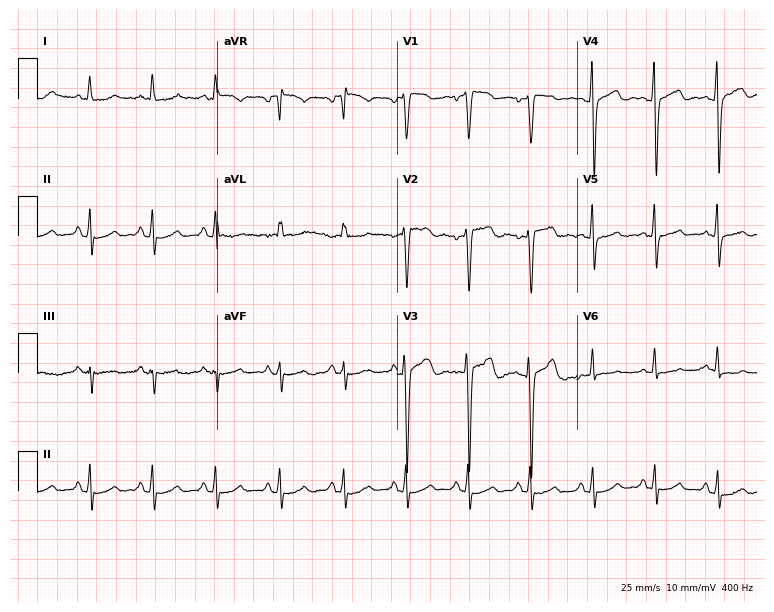
Resting 12-lead electrocardiogram (7.3-second recording at 400 Hz). Patient: a female, 51 years old. None of these six findings is recorded: first-degree AV block, right bundle branch block, left bundle branch block, sinus bradycardia, atrial fibrillation, sinus tachycardia.